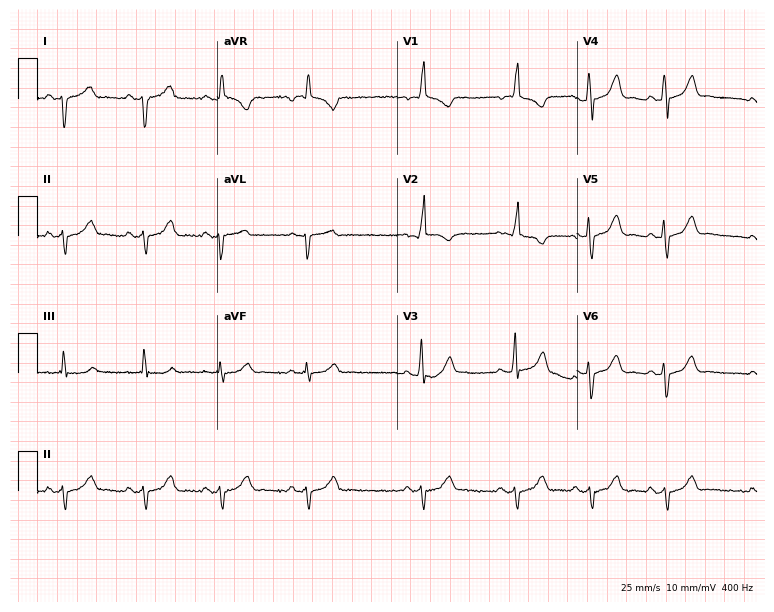
12-lead ECG (7.3-second recording at 400 Hz) from a 23-year-old woman. Screened for six findings — first-degree AV block, right bundle branch block, left bundle branch block, sinus bradycardia, atrial fibrillation, sinus tachycardia — none is recorded. Other findings, if any, are not listed.